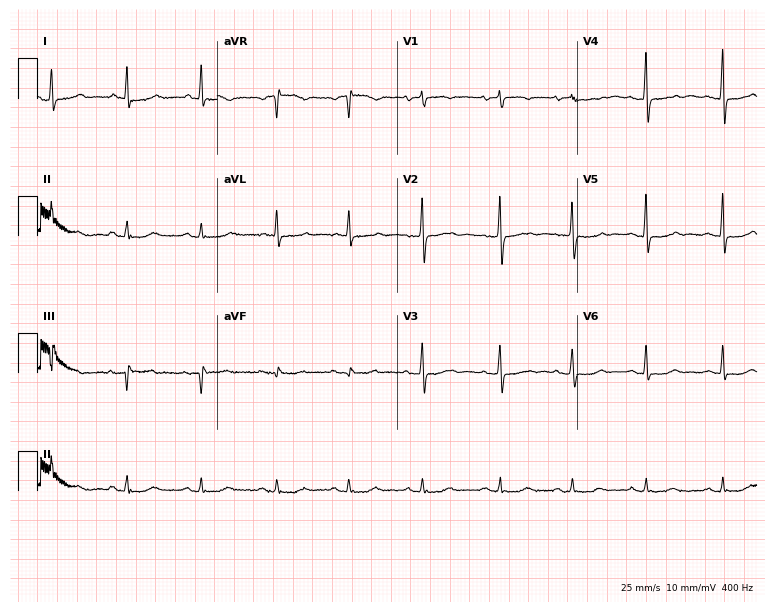
12-lead ECG from a woman, 79 years old. Screened for six findings — first-degree AV block, right bundle branch block, left bundle branch block, sinus bradycardia, atrial fibrillation, sinus tachycardia — none is recorded.